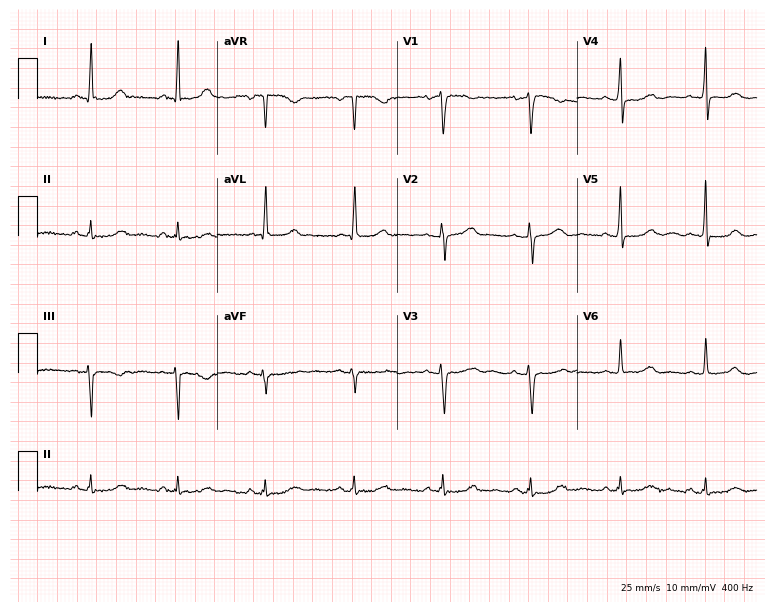
ECG — a woman, 52 years old. Screened for six findings — first-degree AV block, right bundle branch block, left bundle branch block, sinus bradycardia, atrial fibrillation, sinus tachycardia — none is recorded.